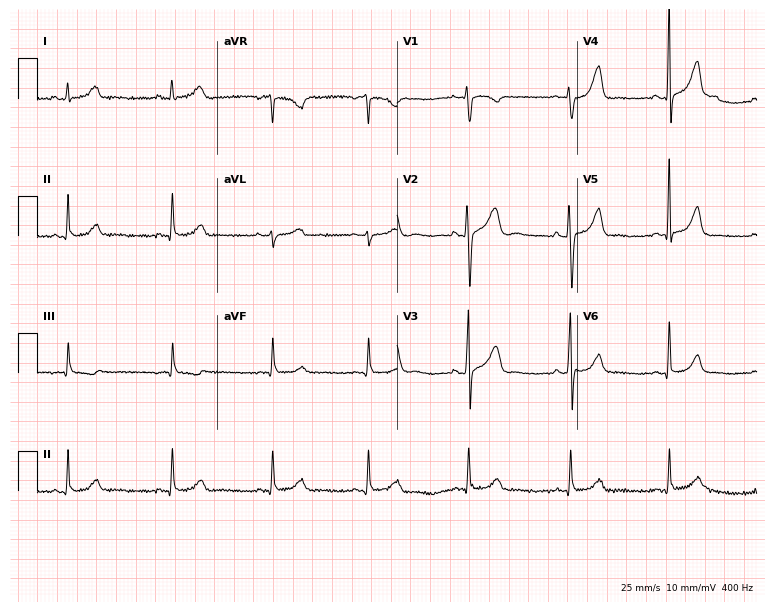
12-lead ECG (7.3-second recording at 400 Hz) from a 31-year-old female. Labelled as a normal ECG.